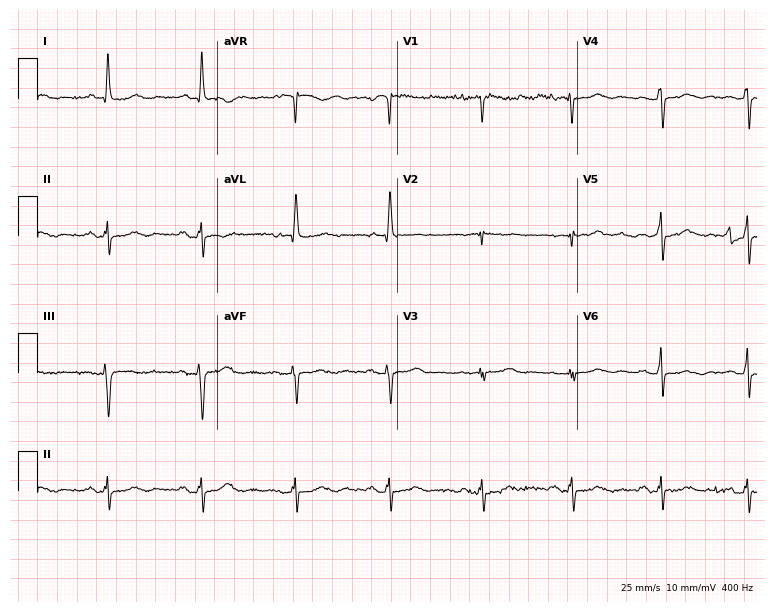
Standard 12-lead ECG recorded from a female patient, 81 years old (7.3-second recording at 400 Hz). None of these six findings is recorded: first-degree AV block, right bundle branch block, left bundle branch block, sinus bradycardia, atrial fibrillation, sinus tachycardia.